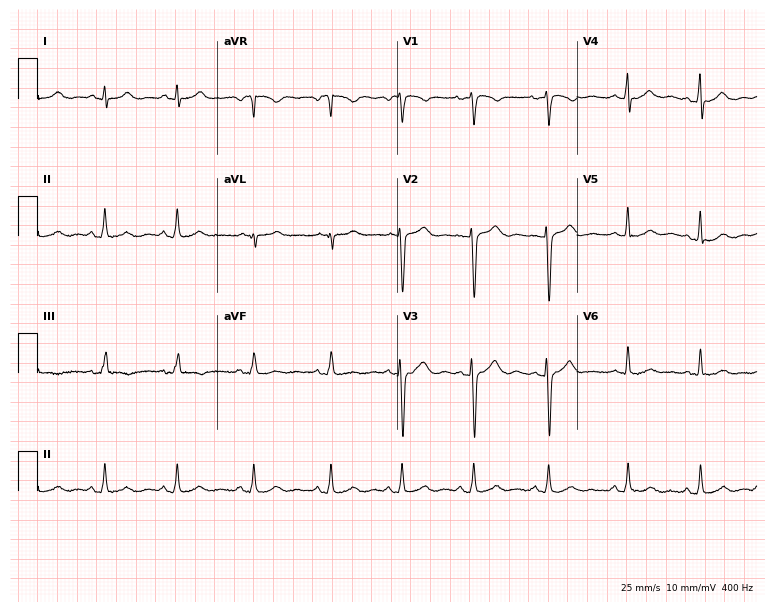
Electrocardiogram, a 29-year-old female patient. Of the six screened findings (first-degree AV block, right bundle branch block, left bundle branch block, sinus bradycardia, atrial fibrillation, sinus tachycardia), none is recorded. Findings outside these six are not listed.